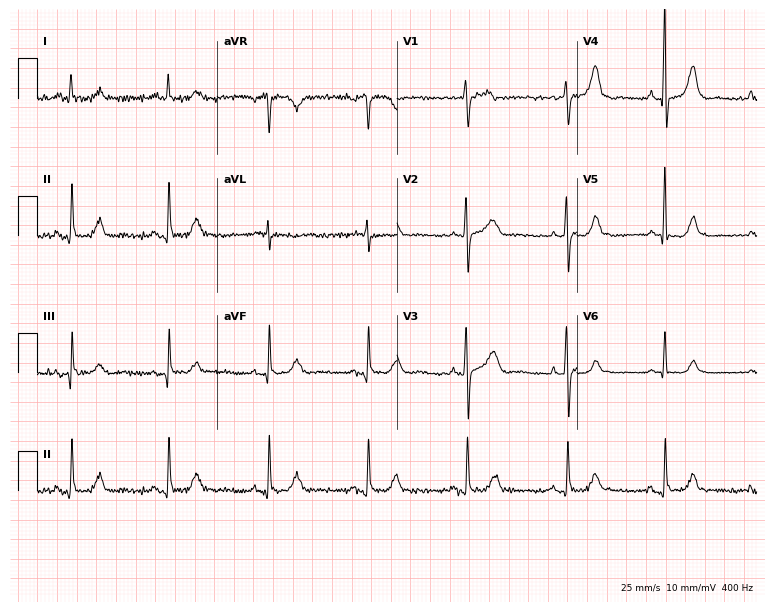
Standard 12-lead ECG recorded from a female, 79 years old (7.3-second recording at 400 Hz). Read as a normal ECG.